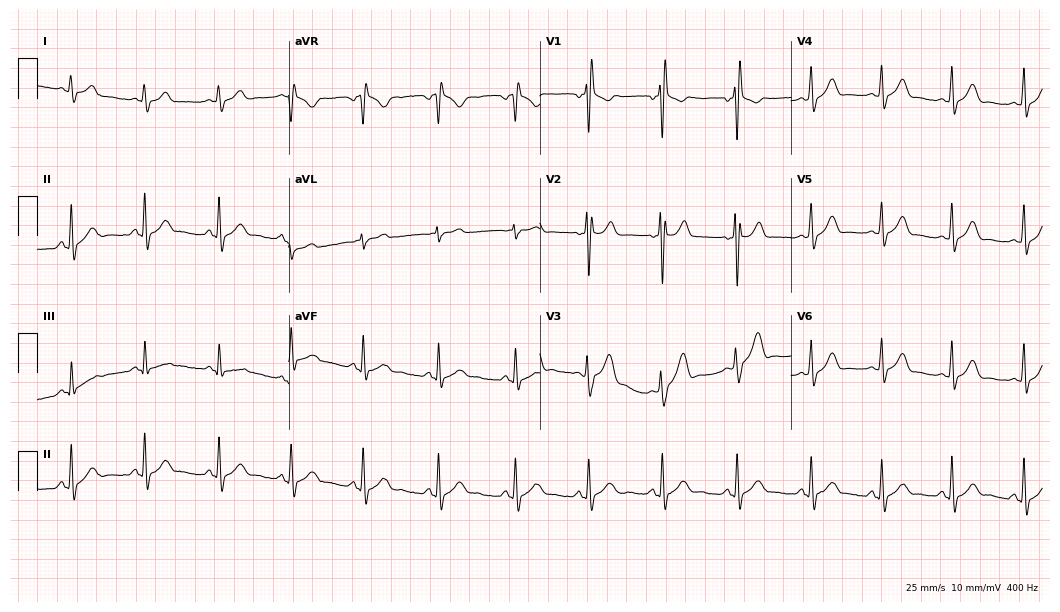
12-lead ECG from a 25-year-old man (10.2-second recording at 400 Hz). No first-degree AV block, right bundle branch block, left bundle branch block, sinus bradycardia, atrial fibrillation or sinus tachycardia recorded for this tracing.